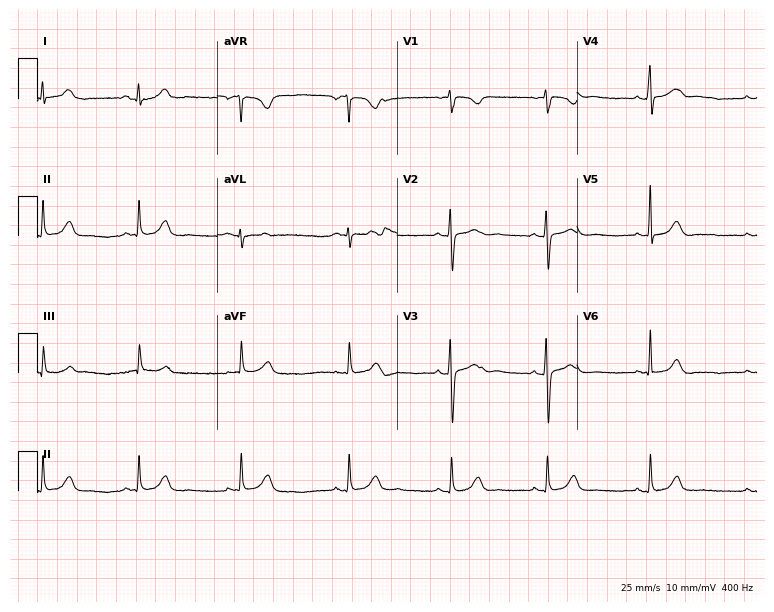
Electrocardiogram (7.3-second recording at 400 Hz), a 25-year-old female. Of the six screened findings (first-degree AV block, right bundle branch block, left bundle branch block, sinus bradycardia, atrial fibrillation, sinus tachycardia), none is recorded.